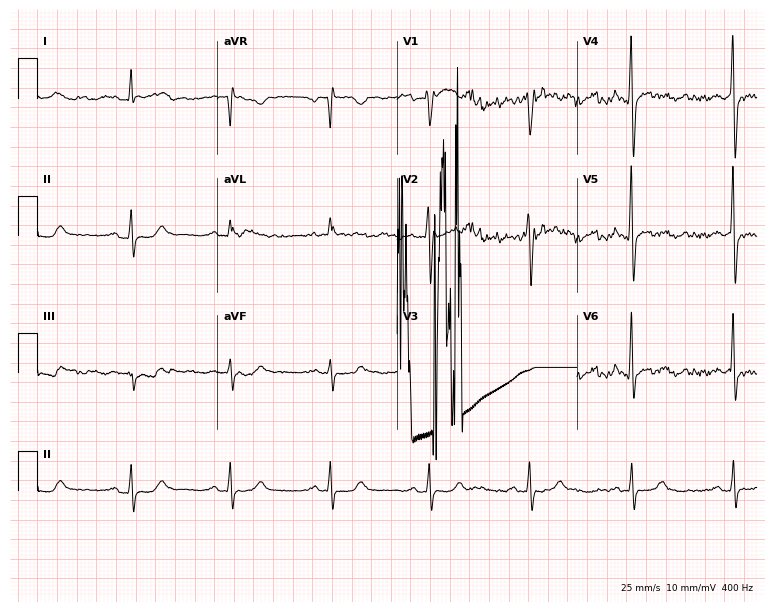
Resting 12-lead electrocardiogram. Patient: a female, 58 years old. None of these six findings is recorded: first-degree AV block, right bundle branch block, left bundle branch block, sinus bradycardia, atrial fibrillation, sinus tachycardia. Findings outside these six are not listed.